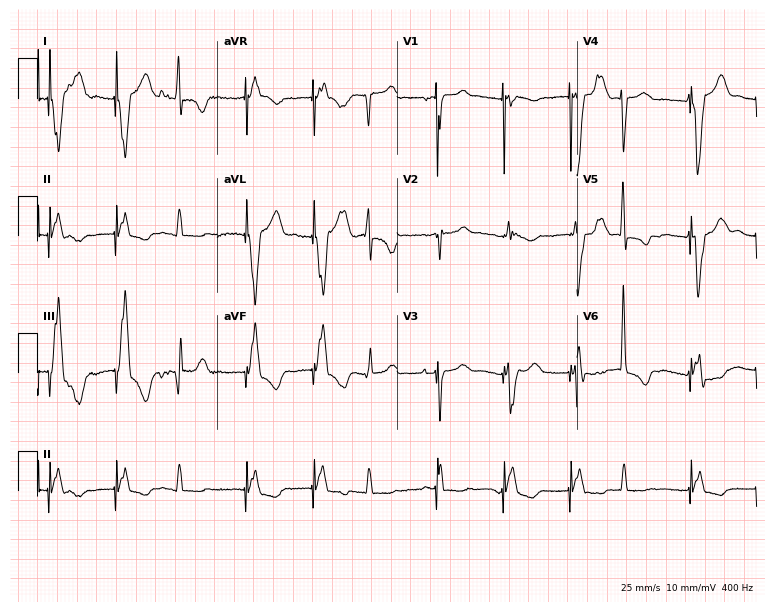
Standard 12-lead ECG recorded from a female patient, 84 years old (7.3-second recording at 400 Hz). None of these six findings is recorded: first-degree AV block, right bundle branch block (RBBB), left bundle branch block (LBBB), sinus bradycardia, atrial fibrillation (AF), sinus tachycardia.